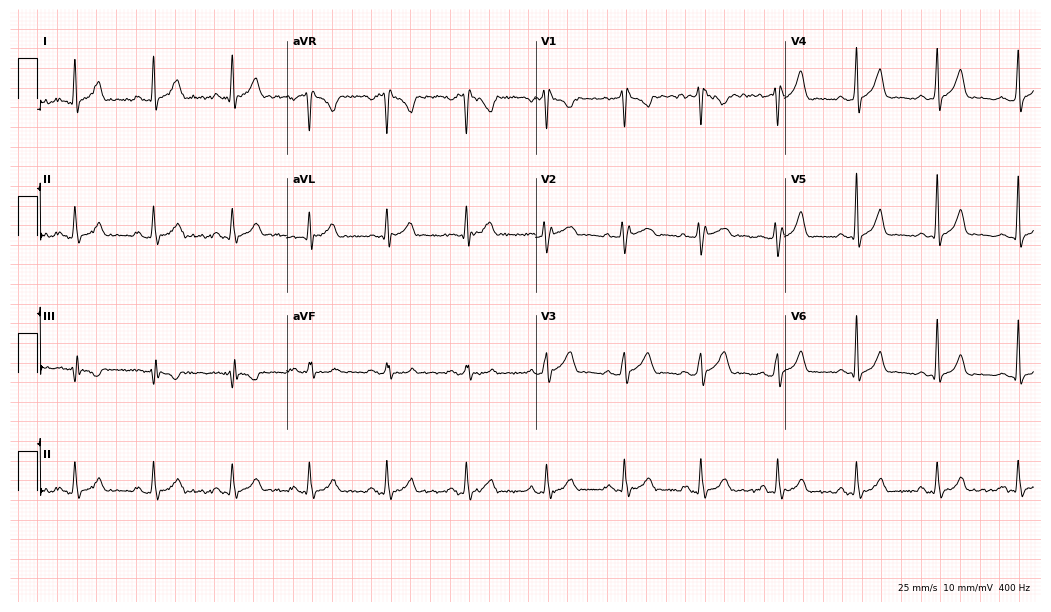
12-lead ECG from a 30-year-old male (10.2-second recording at 400 Hz). Shows right bundle branch block (RBBB).